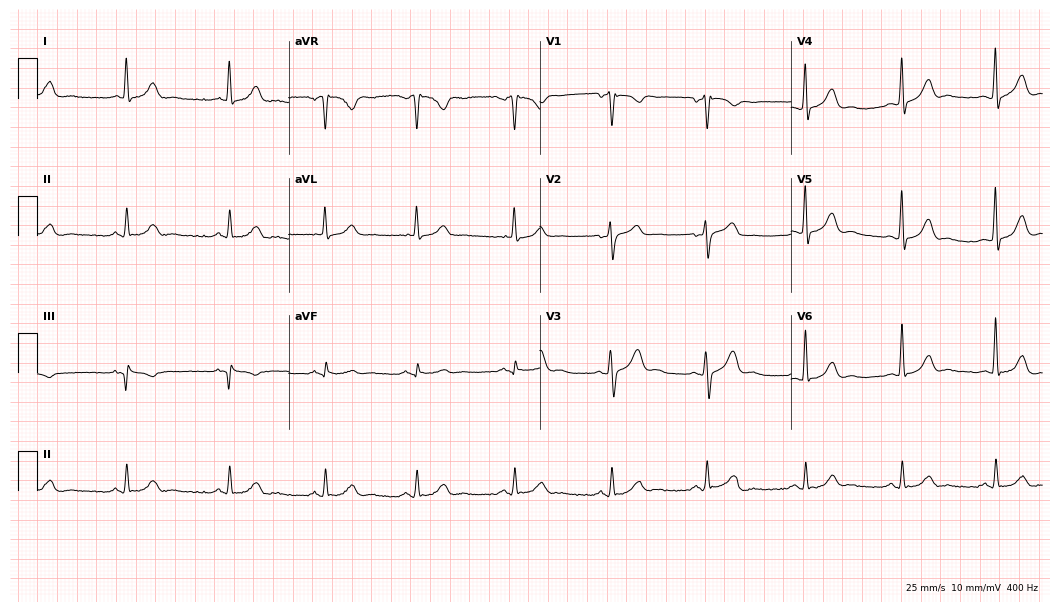
12-lead ECG from a 51-year-old man (10.2-second recording at 400 Hz). Recorded interpretation: within normal limits.